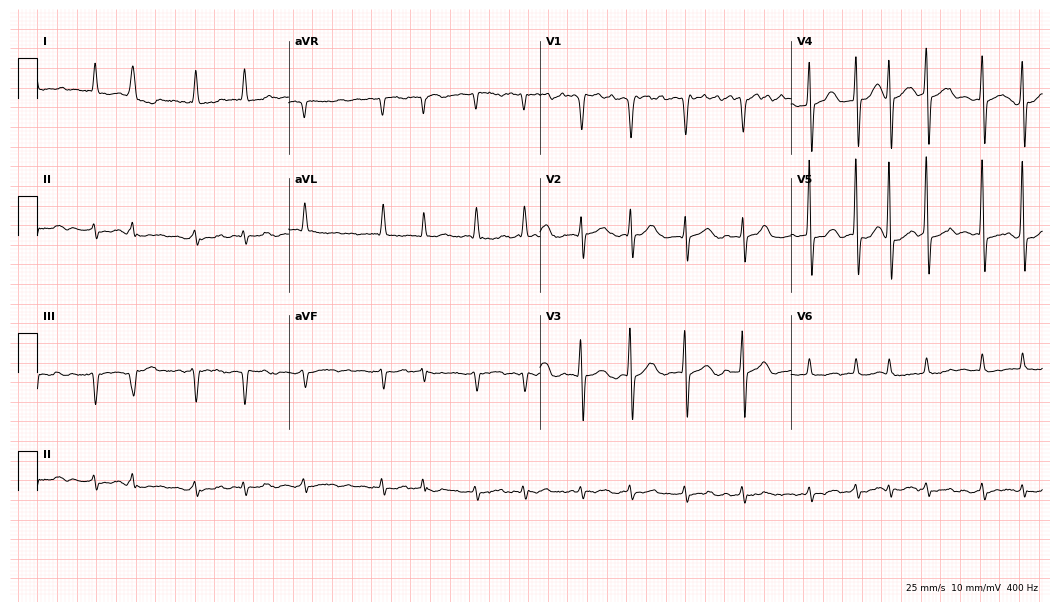
Electrocardiogram (10.2-second recording at 400 Hz), a male patient, 70 years old. Interpretation includes atrial fibrillation.